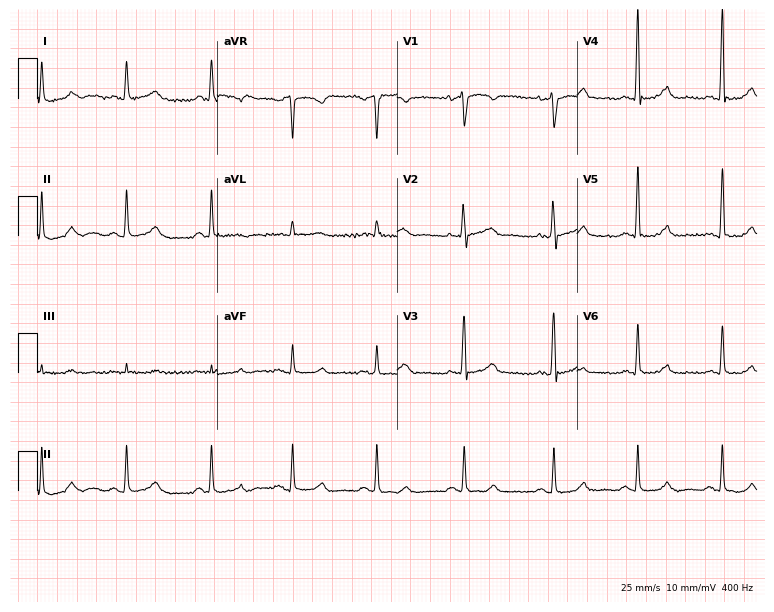
Standard 12-lead ECG recorded from a female, 45 years old (7.3-second recording at 400 Hz). None of these six findings is recorded: first-degree AV block, right bundle branch block (RBBB), left bundle branch block (LBBB), sinus bradycardia, atrial fibrillation (AF), sinus tachycardia.